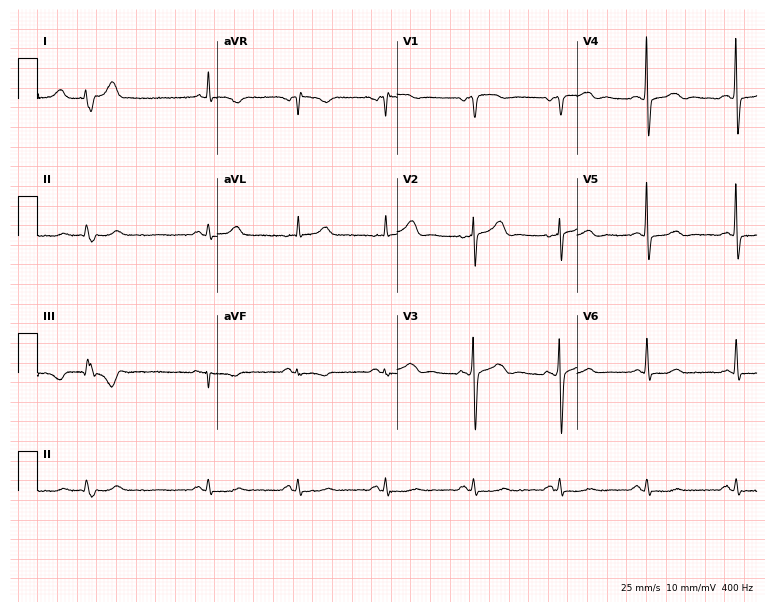
12-lead ECG (7.3-second recording at 400 Hz) from a man, 75 years old. Labelled as a normal ECG.